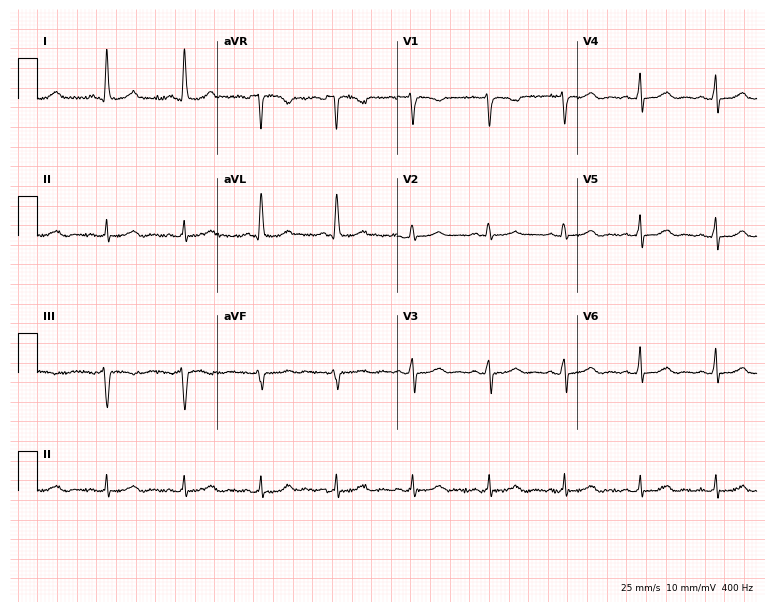
Standard 12-lead ECG recorded from a 60-year-old female patient. Read as a normal ECG.